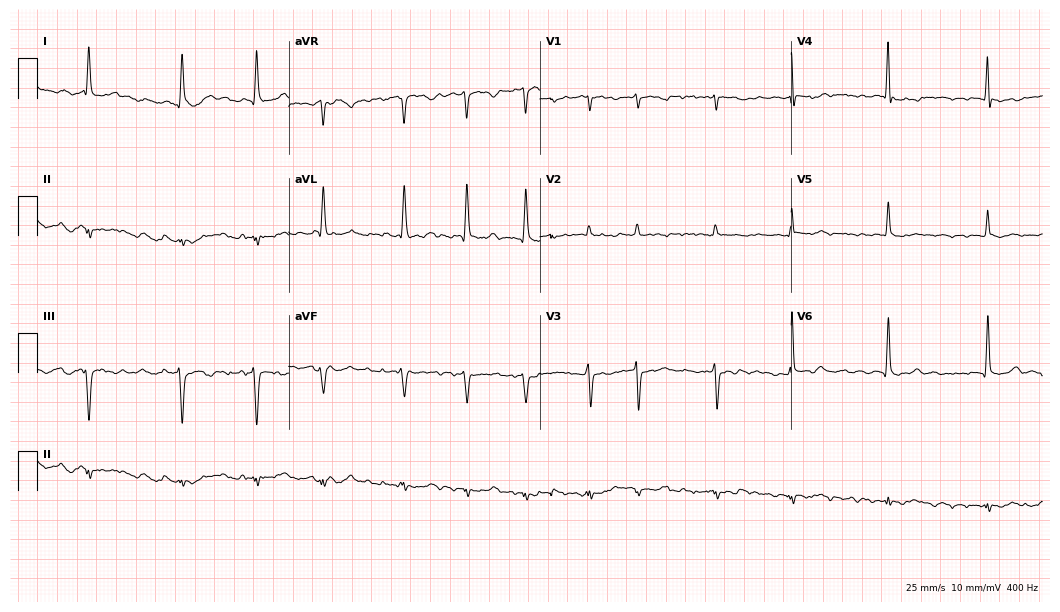
12-lead ECG from an 80-year-old female. Findings include atrial fibrillation.